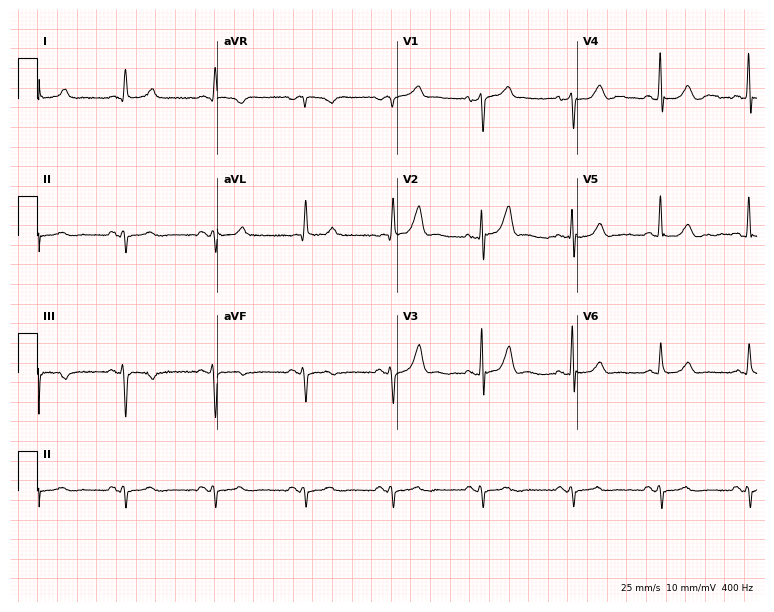
Standard 12-lead ECG recorded from a 59-year-old male patient (7.3-second recording at 400 Hz). None of these six findings is recorded: first-degree AV block, right bundle branch block (RBBB), left bundle branch block (LBBB), sinus bradycardia, atrial fibrillation (AF), sinus tachycardia.